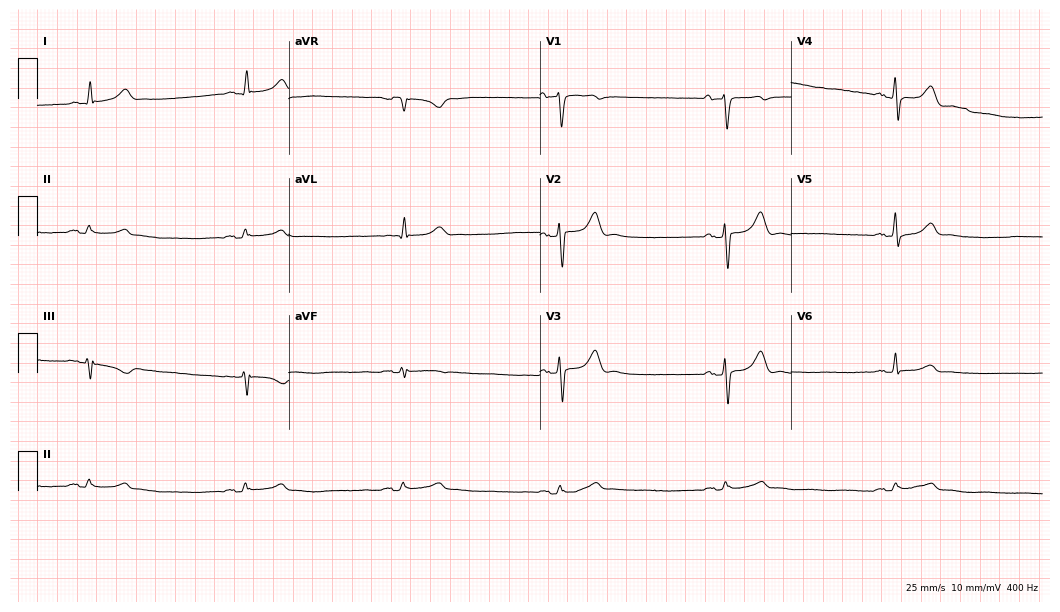
Standard 12-lead ECG recorded from a male, 68 years old (10.2-second recording at 400 Hz). None of these six findings is recorded: first-degree AV block, right bundle branch block (RBBB), left bundle branch block (LBBB), sinus bradycardia, atrial fibrillation (AF), sinus tachycardia. Other findings, if any, are not listed.